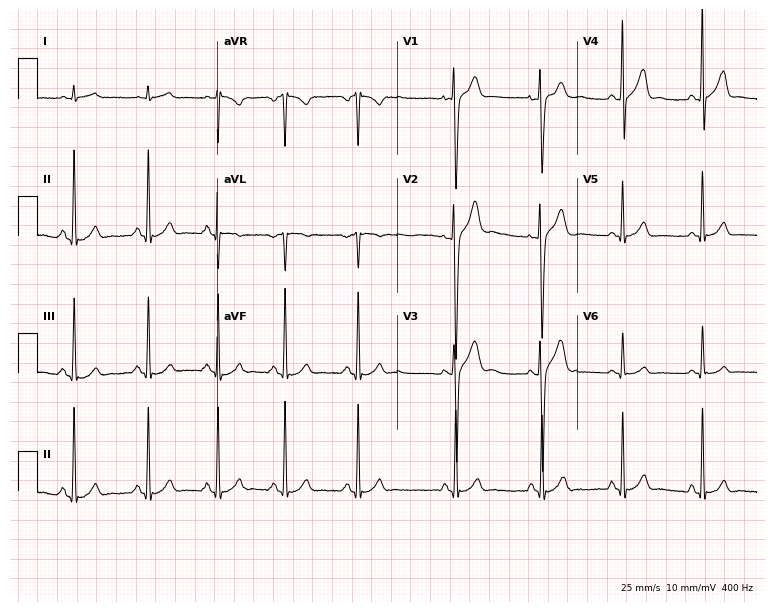
12-lead ECG (7.3-second recording at 400 Hz) from a 28-year-old man. Labelled as a normal ECG.